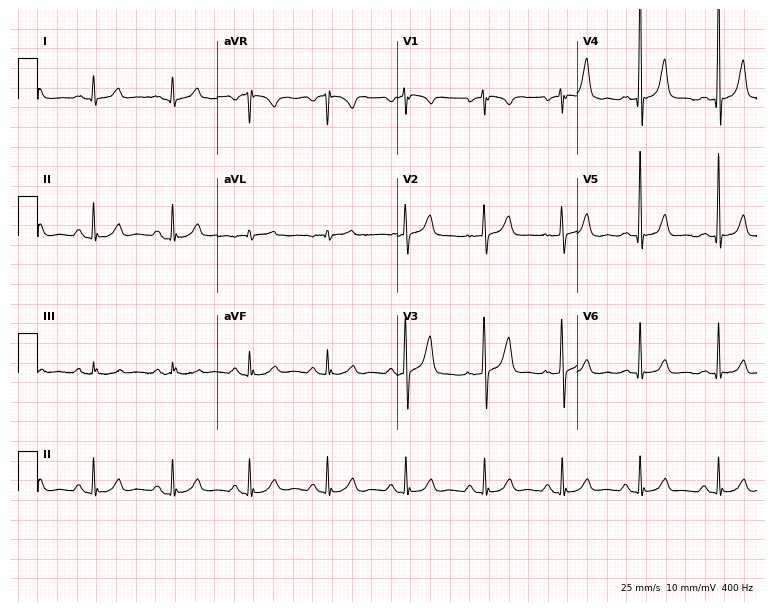
12-lead ECG from a 61-year-old man. Labelled as a normal ECG.